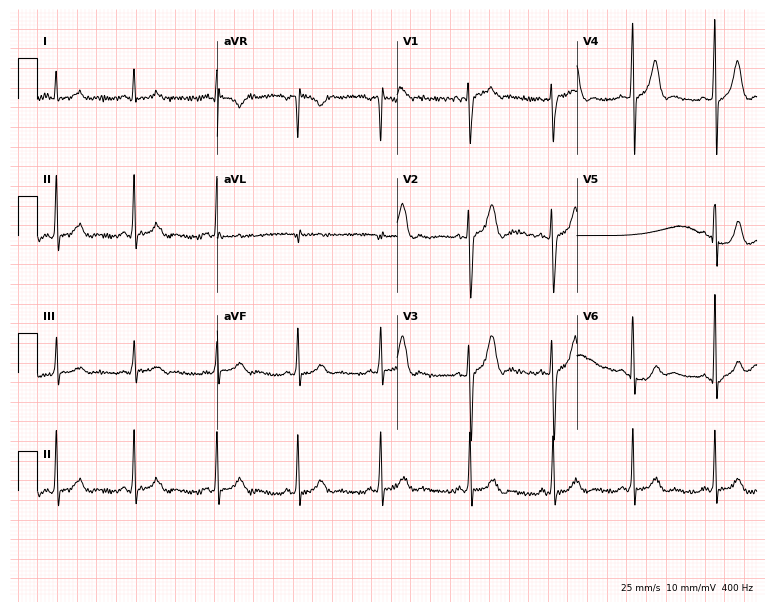
ECG — a male, 18 years old. Screened for six findings — first-degree AV block, right bundle branch block (RBBB), left bundle branch block (LBBB), sinus bradycardia, atrial fibrillation (AF), sinus tachycardia — none is recorded. Other findings, if any, are not listed.